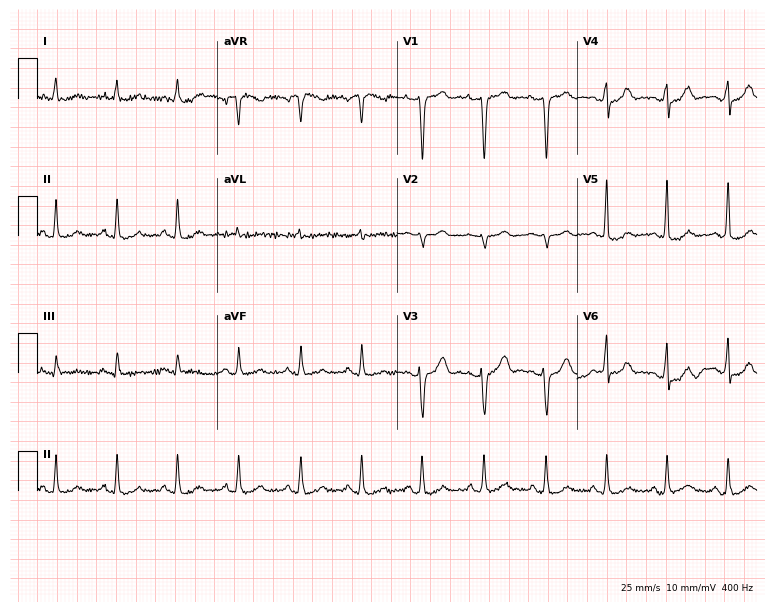
ECG — a woman, 52 years old. Labelled as a normal ECG.